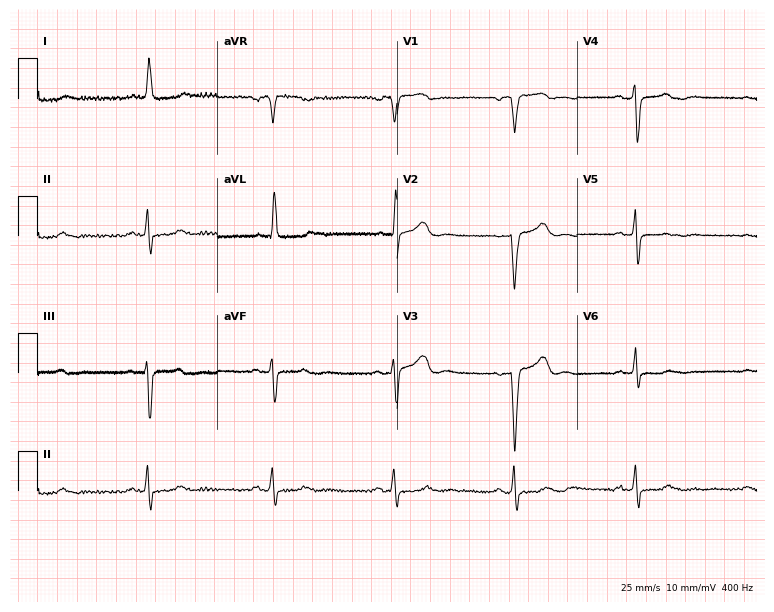
Resting 12-lead electrocardiogram (7.3-second recording at 400 Hz). Patient: a 56-year-old female. None of these six findings is recorded: first-degree AV block, right bundle branch block (RBBB), left bundle branch block (LBBB), sinus bradycardia, atrial fibrillation (AF), sinus tachycardia. Only these six findings were labelled.